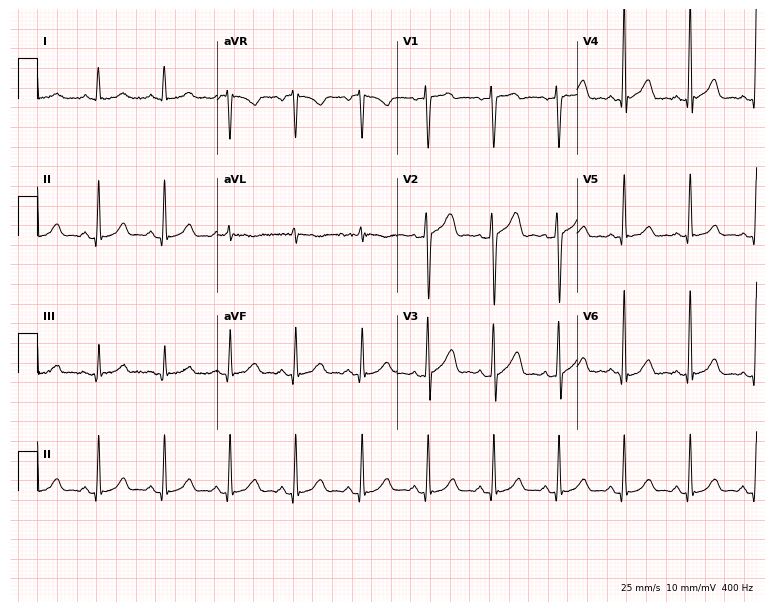
Resting 12-lead electrocardiogram (7.3-second recording at 400 Hz). Patient: a 47-year-old male. Read as a normal ECG.